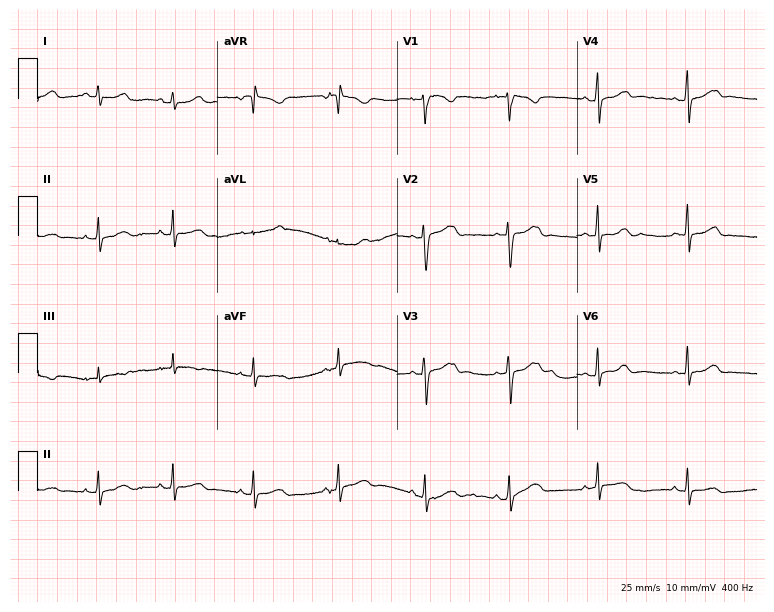
Standard 12-lead ECG recorded from a female patient, 19 years old (7.3-second recording at 400 Hz). Read as a normal ECG.